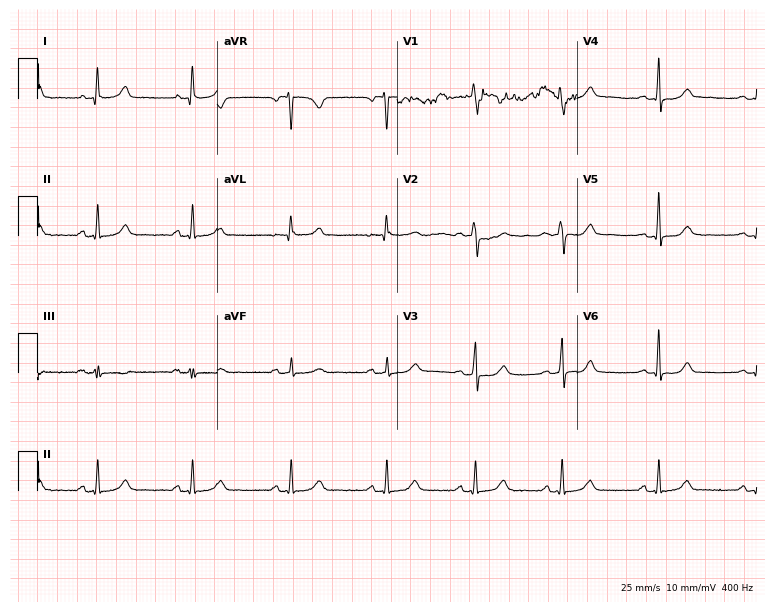
ECG (7.3-second recording at 400 Hz) — a female patient, 44 years old. Labelled as a normal ECG.